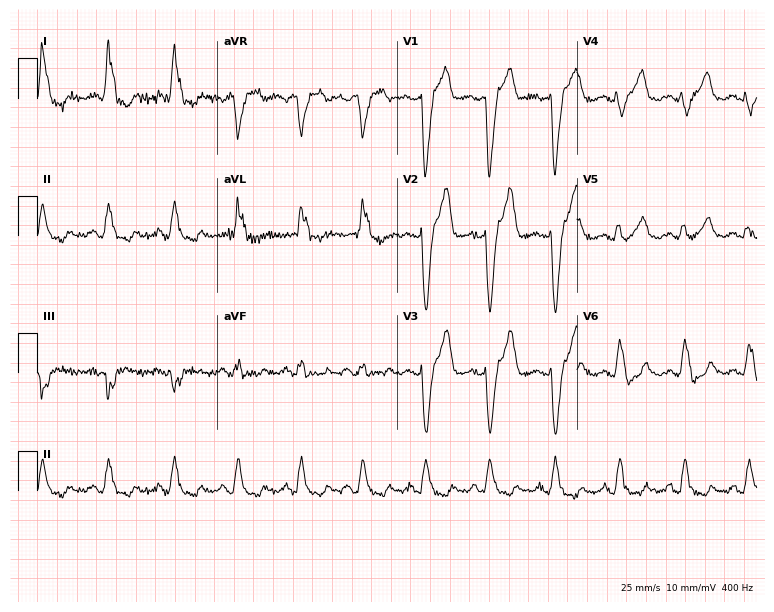
Resting 12-lead electrocardiogram. Patient: a 56-year-old woman. The tracing shows left bundle branch block (LBBB).